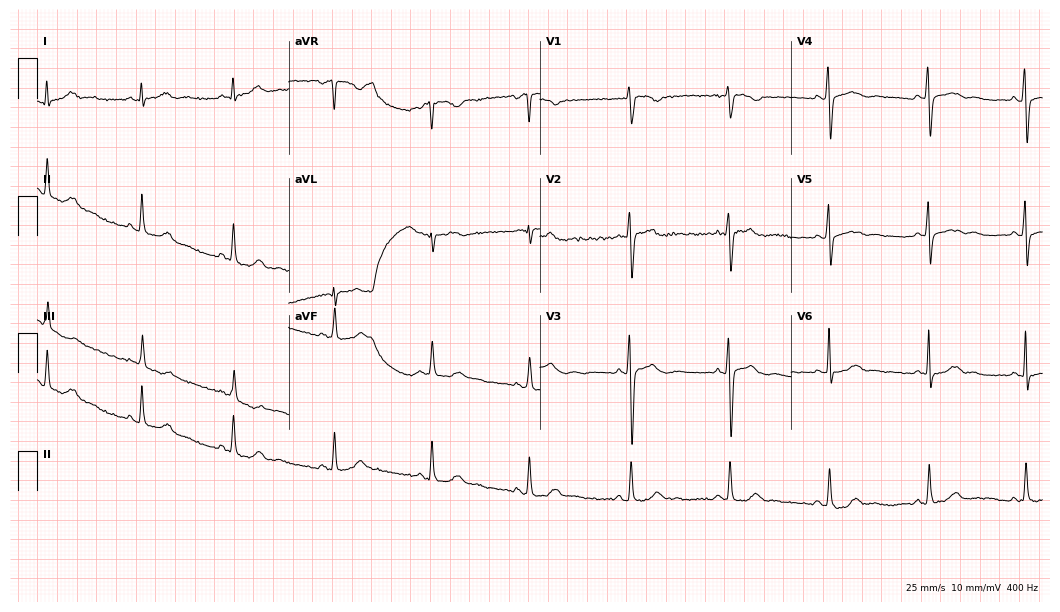
Electrocardiogram, a female, 34 years old. Of the six screened findings (first-degree AV block, right bundle branch block, left bundle branch block, sinus bradycardia, atrial fibrillation, sinus tachycardia), none is recorded.